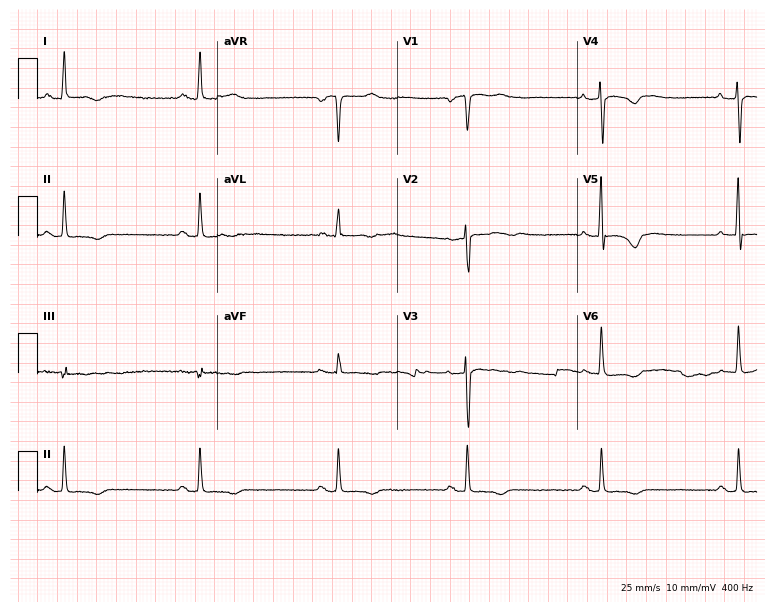
Electrocardiogram, a female patient, 77 years old. Interpretation includes sinus bradycardia (a sinus rate of 50 beats per minute or less).